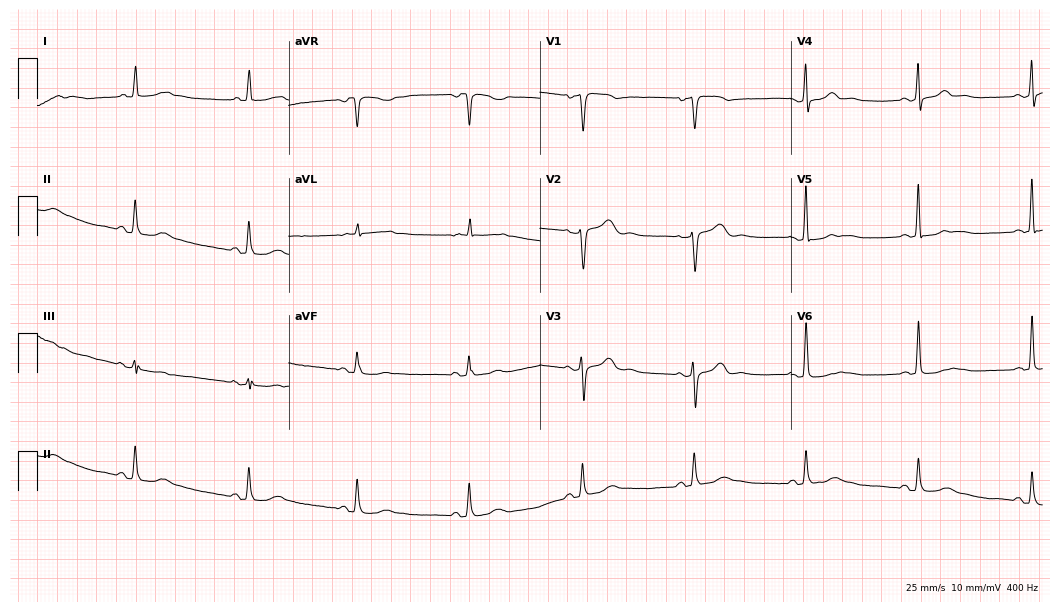
Standard 12-lead ECG recorded from a female patient, 77 years old. None of these six findings is recorded: first-degree AV block, right bundle branch block, left bundle branch block, sinus bradycardia, atrial fibrillation, sinus tachycardia. Findings outside these six are not listed.